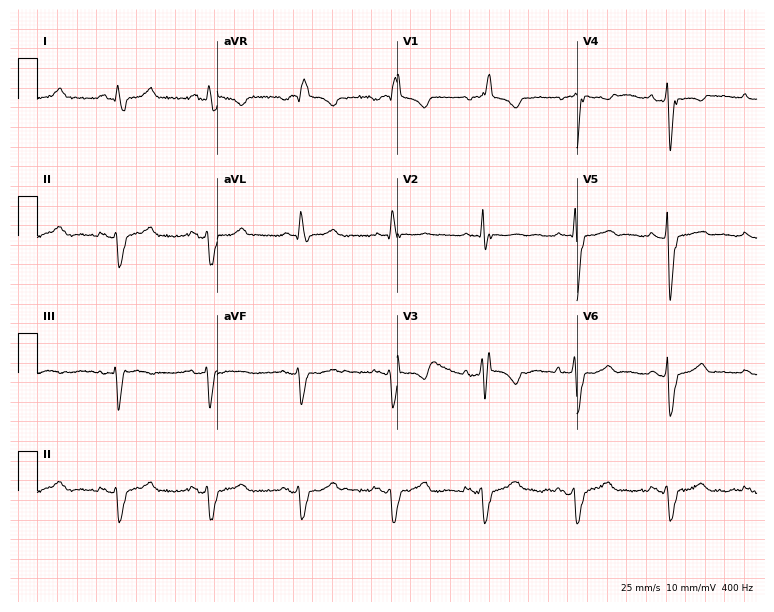
12-lead ECG from a 76-year-old male. Findings include right bundle branch block (RBBB).